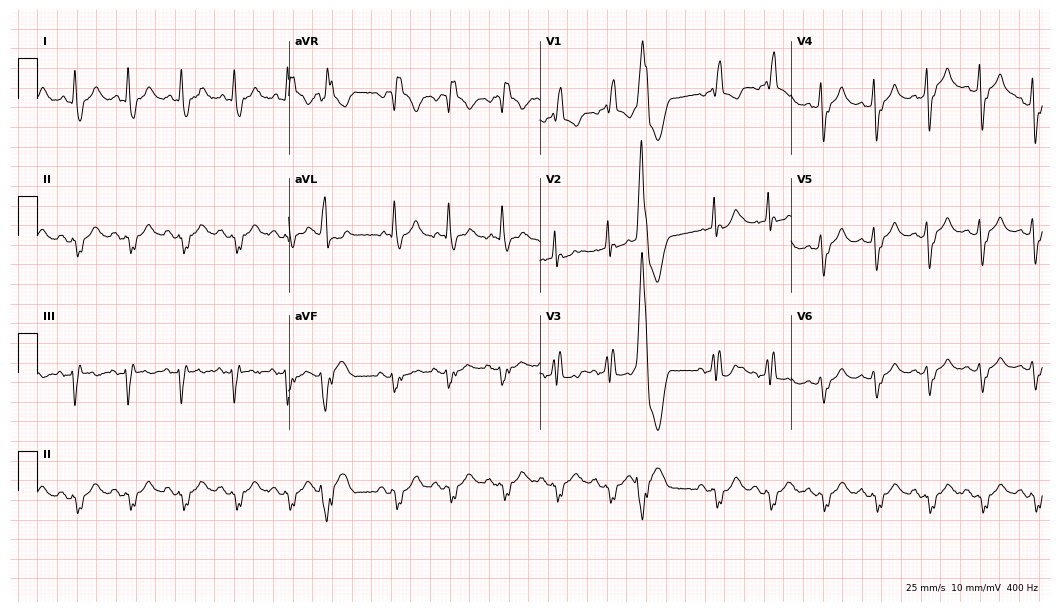
ECG (10.2-second recording at 400 Hz) — a woman, 65 years old. Findings include right bundle branch block (RBBB), sinus tachycardia (a sinus rate of 100 beats per minute or more).